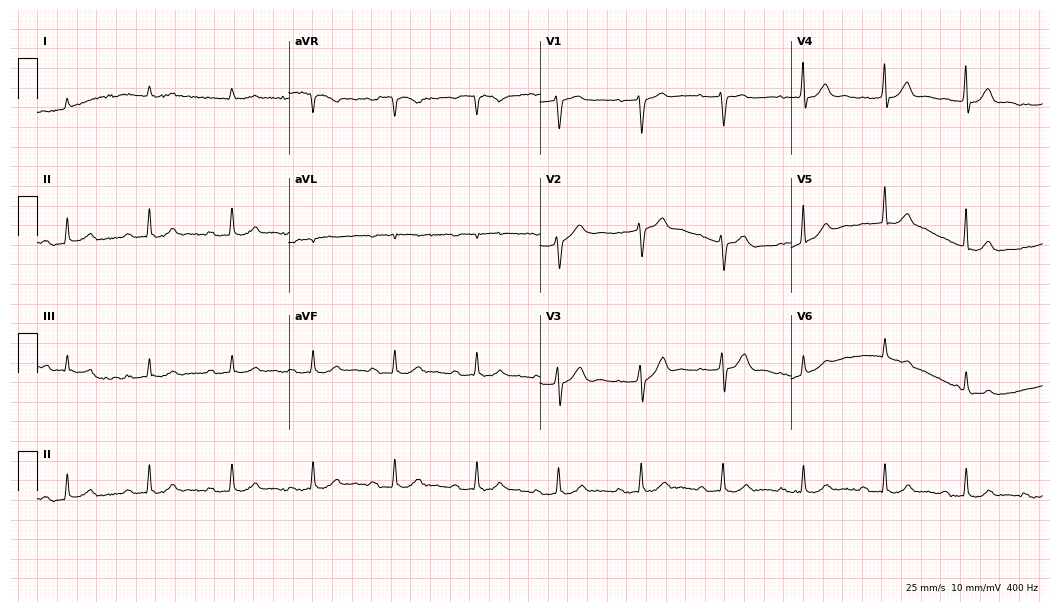
12-lead ECG from a 79-year-old male. Recorded interpretation: within normal limits.